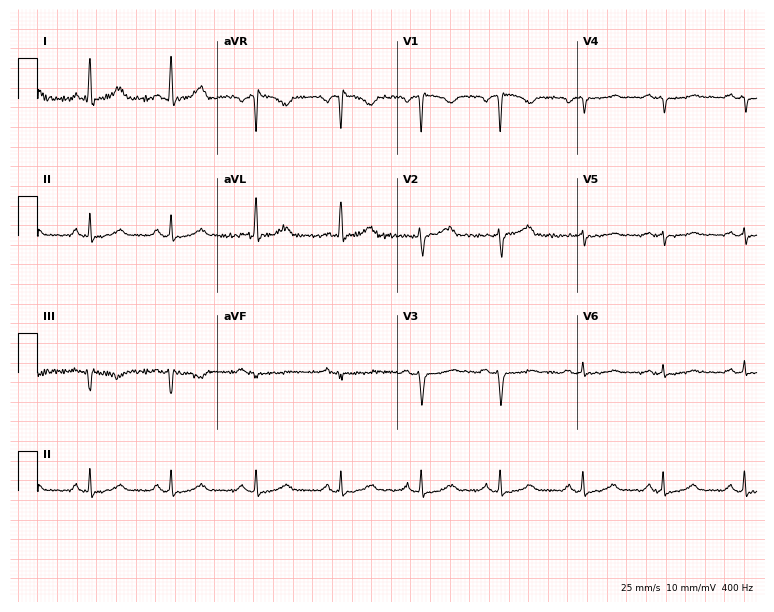
ECG — a female, 43 years old. Screened for six findings — first-degree AV block, right bundle branch block, left bundle branch block, sinus bradycardia, atrial fibrillation, sinus tachycardia — none is recorded.